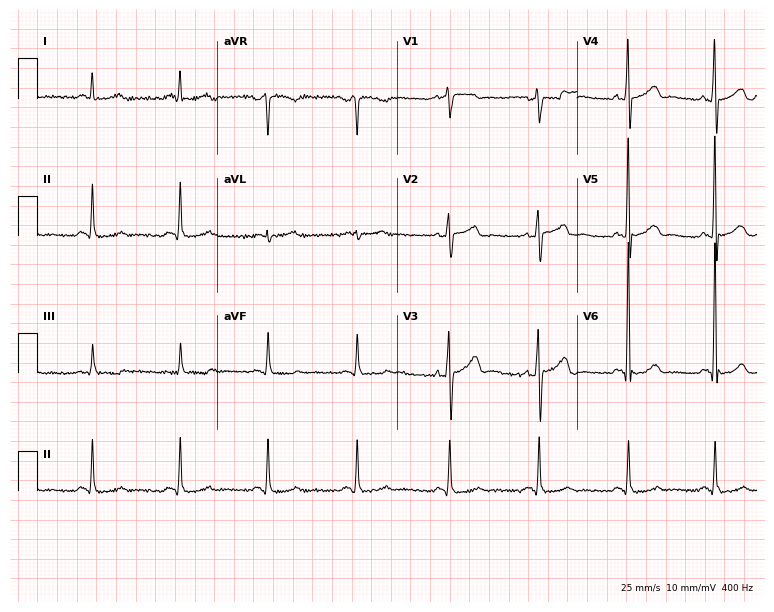
Resting 12-lead electrocardiogram (7.3-second recording at 400 Hz). Patient: a 52-year-old man. None of these six findings is recorded: first-degree AV block, right bundle branch block (RBBB), left bundle branch block (LBBB), sinus bradycardia, atrial fibrillation (AF), sinus tachycardia.